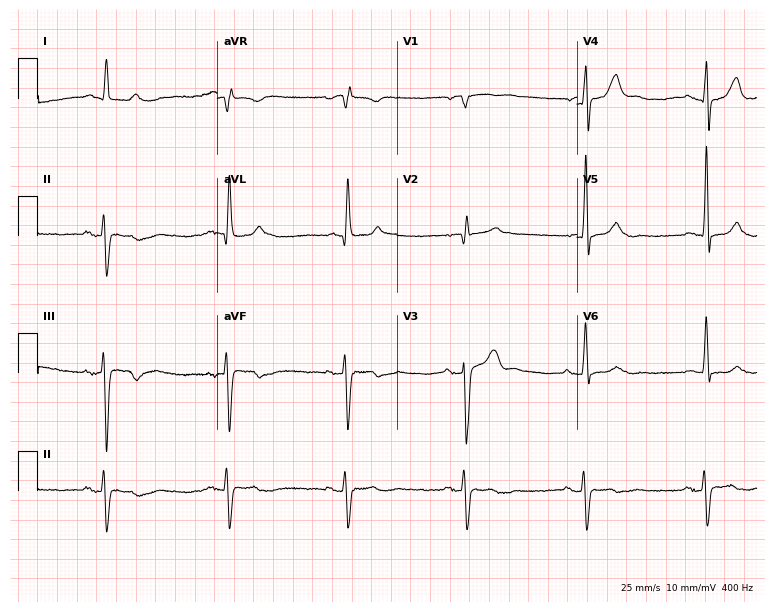
Standard 12-lead ECG recorded from a 58-year-old male (7.3-second recording at 400 Hz). The tracing shows sinus bradycardia (a sinus rate of 50 beats per minute or less).